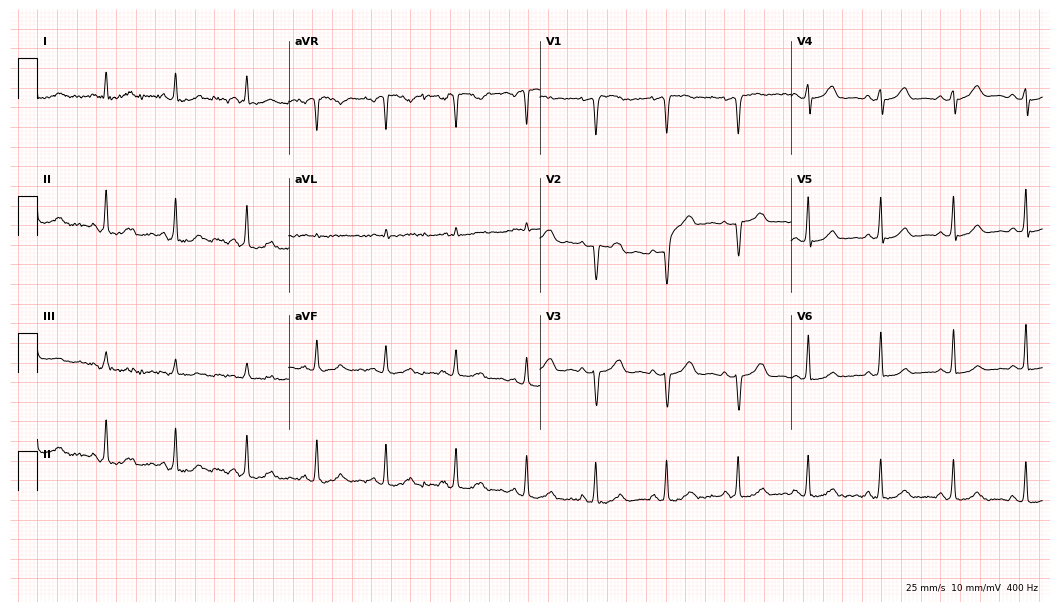
Electrocardiogram (10.2-second recording at 400 Hz), a female, 49 years old. Overall reading on record: normal ECG.